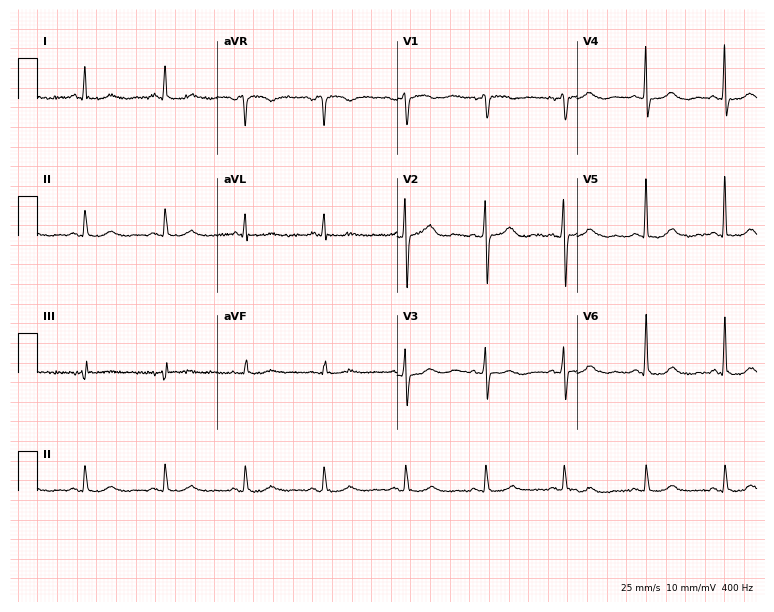
Standard 12-lead ECG recorded from a female, 75 years old. None of these six findings is recorded: first-degree AV block, right bundle branch block, left bundle branch block, sinus bradycardia, atrial fibrillation, sinus tachycardia. Only these six findings were labelled.